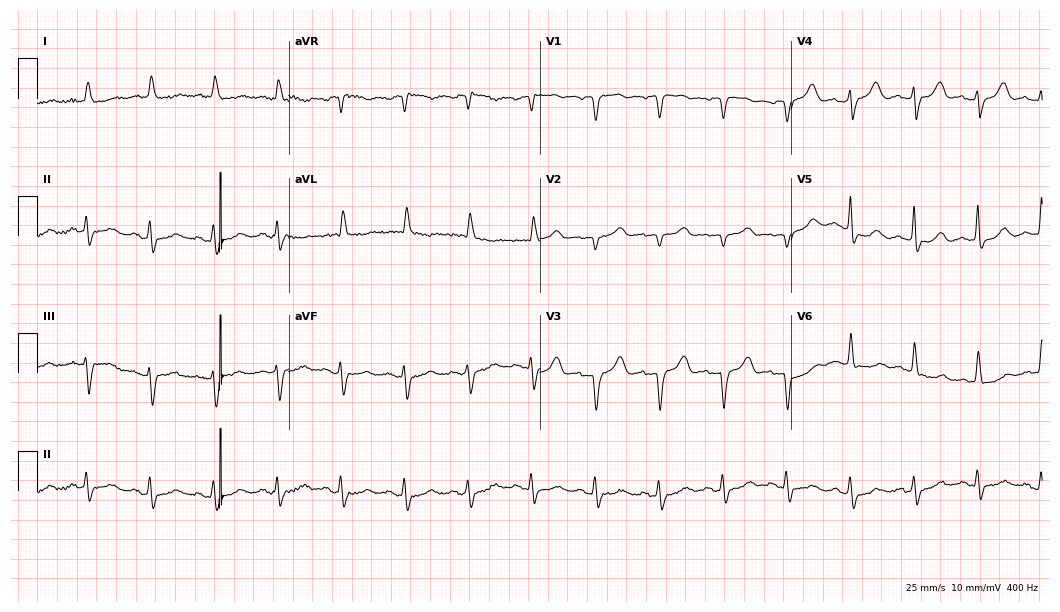
Electrocardiogram, a 79-year-old female. Of the six screened findings (first-degree AV block, right bundle branch block, left bundle branch block, sinus bradycardia, atrial fibrillation, sinus tachycardia), none is recorded.